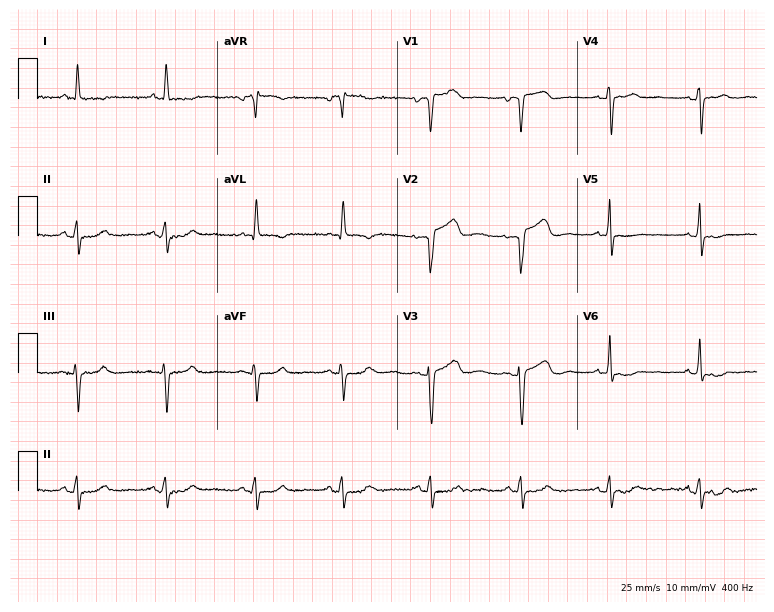
Electrocardiogram (7.3-second recording at 400 Hz), a 76-year-old male. Of the six screened findings (first-degree AV block, right bundle branch block, left bundle branch block, sinus bradycardia, atrial fibrillation, sinus tachycardia), none is recorded. Findings outside these six are not listed.